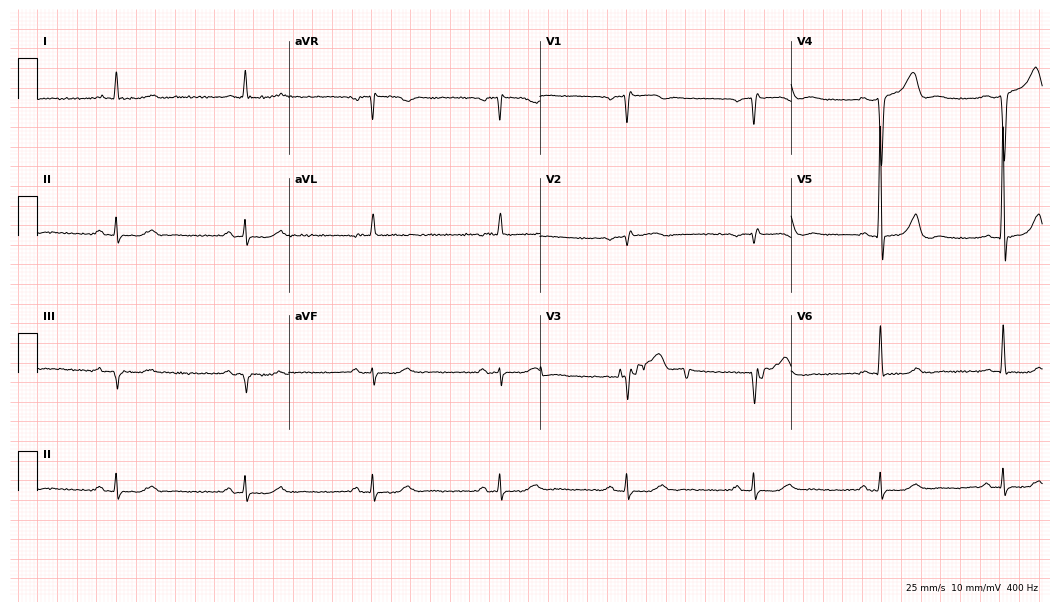
12-lead ECG (10.2-second recording at 400 Hz) from a 74-year-old male patient. Findings include sinus bradycardia (a sinus rate of 50 beats per minute or less).